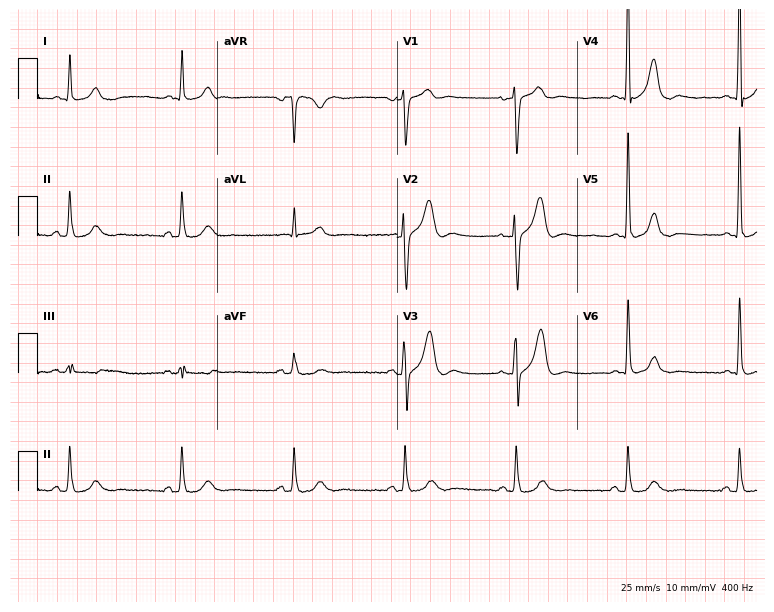
12-lead ECG from a man, 72 years old. No first-degree AV block, right bundle branch block, left bundle branch block, sinus bradycardia, atrial fibrillation or sinus tachycardia recorded for this tracing. Findings outside these six are not listed.